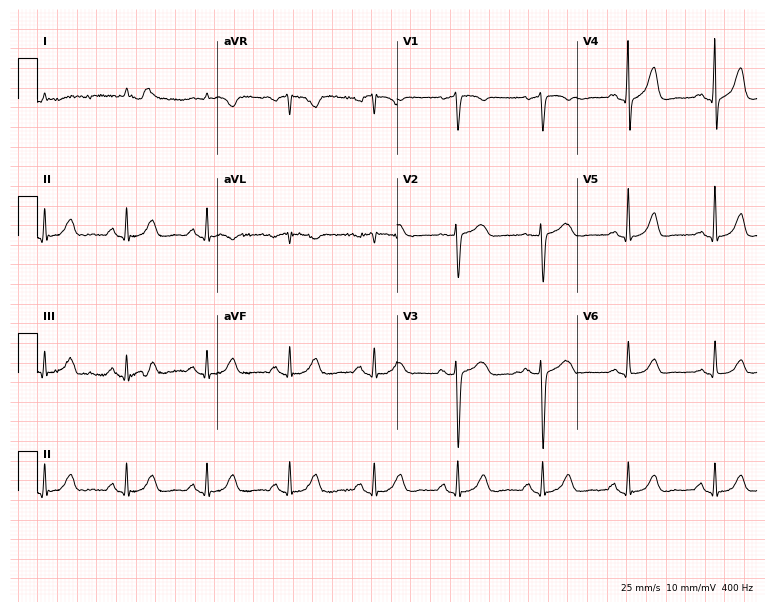
12-lead ECG from a 73-year-old male (7.3-second recording at 400 Hz). Recorded interpretation: within normal limits.